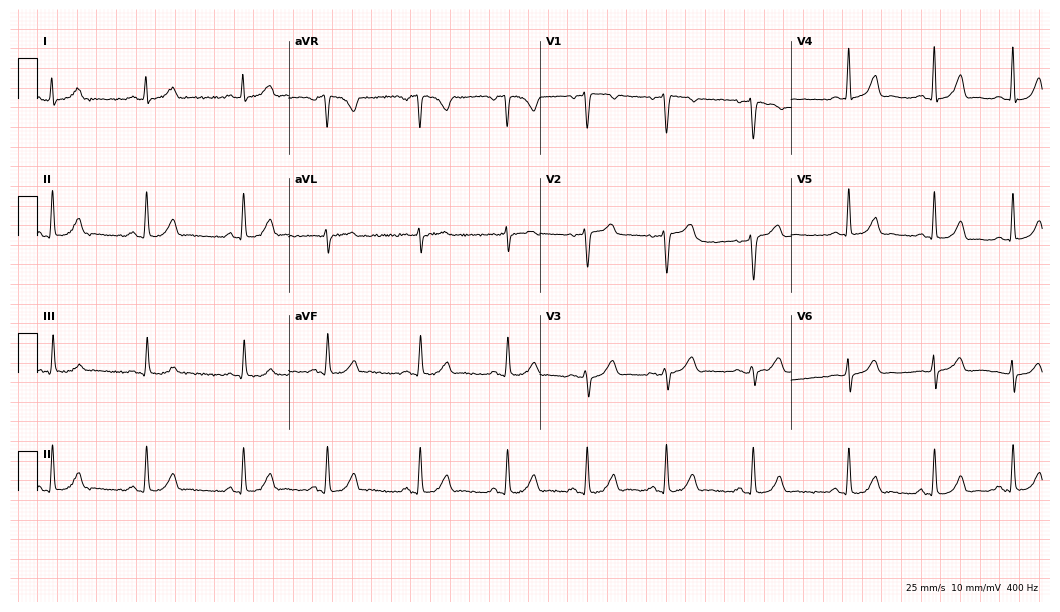
12-lead ECG from a woman, 28 years old. Labelled as a normal ECG.